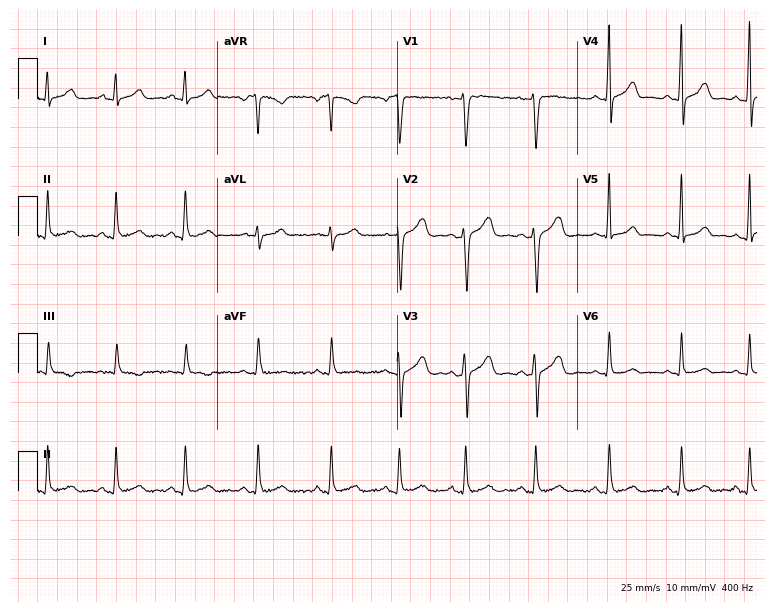
ECG (7.3-second recording at 400 Hz) — a 31-year-old female patient. Screened for six findings — first-degree AV block, right bundle branch block (RBBB), left bundle branch block (LBBB), sinus bradycardia, atrial fibrillation (AF), sinus tachycardia — none is recorded. Only these six findings were labelled.